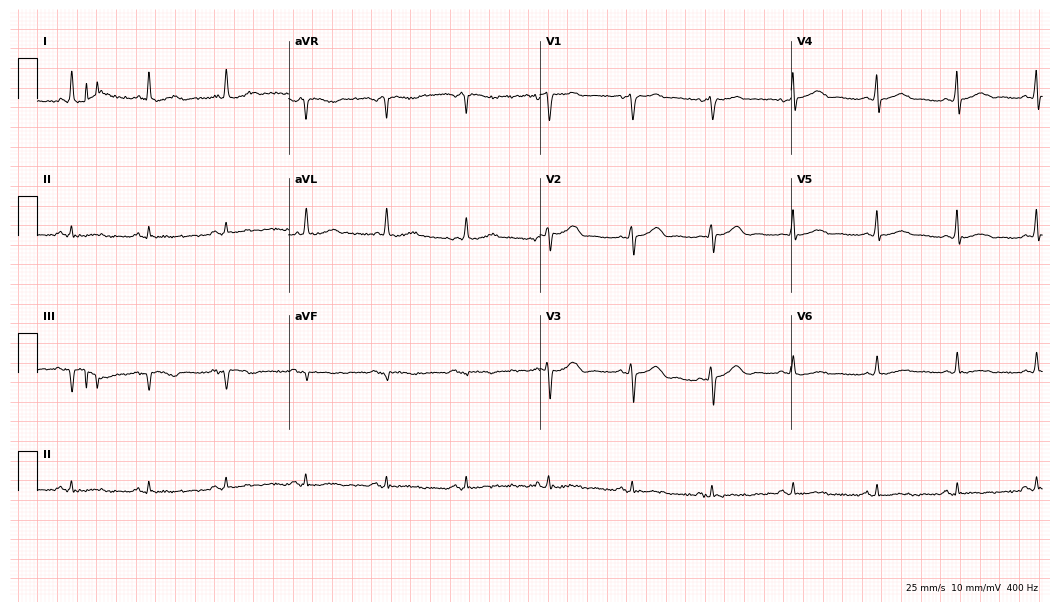
12-lead ECG (10.2-second recording at 400 Hz) from a 56-year-old female patient. Screened for six findings — first-degree AV block, right bundle branch block, left bundle branch block, sinus bradycardia, atrial fibrillation, sinus tachycardia — none is recorded. Only these six findings were labelled.